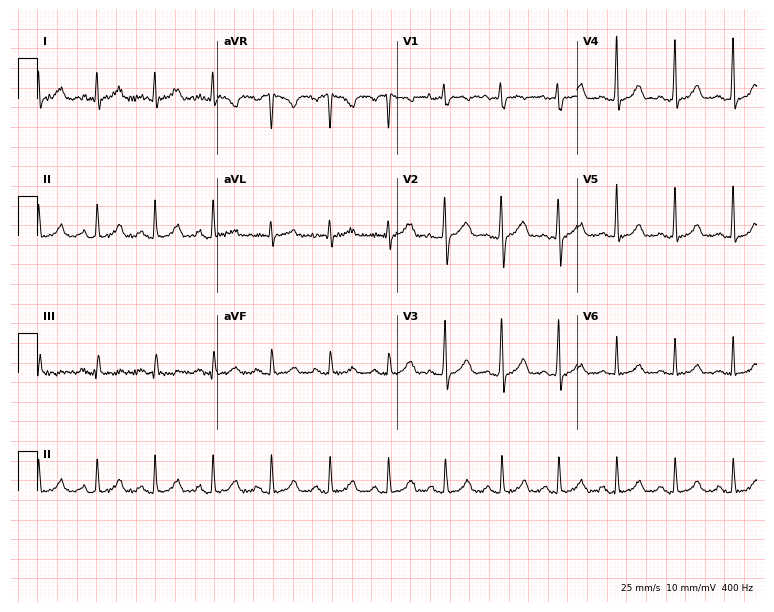
12-lead ECG from a woman, 26 years old (7.3-second recording at 400 Hz). Recorded interpretation: within normal limits.